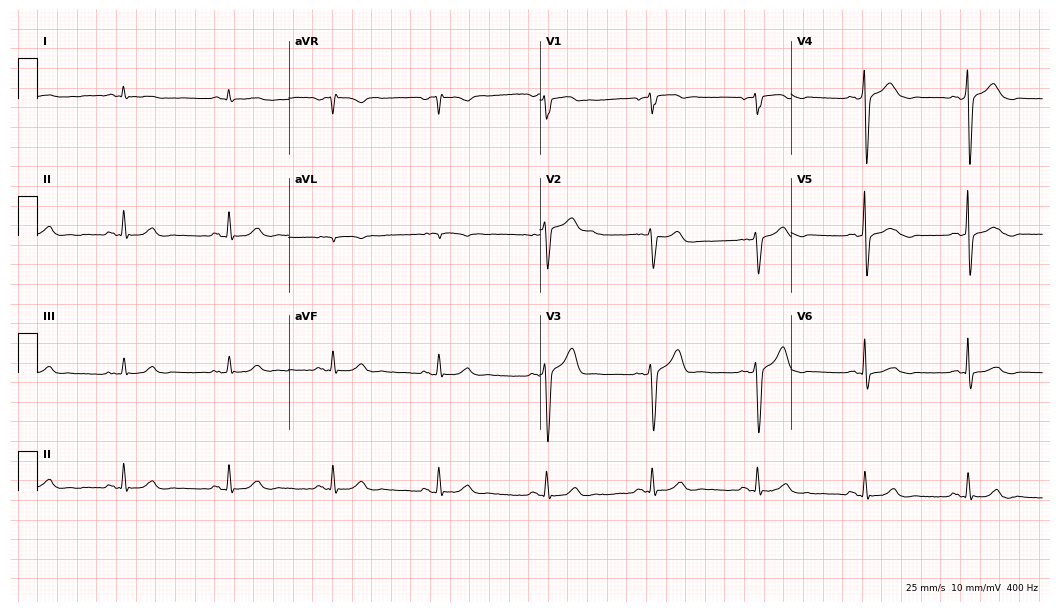
Standard 12-lead ECG recorded from a male patient, 76 years old (10.2-second recording at 400 Hz). None of these six findings is recorded: first-degree AV block, right bundle branch block, left bundle branch block, sinus bradycardia, atrial fibrillation, sinus tachycardia. Other findings, if any, are not listed.